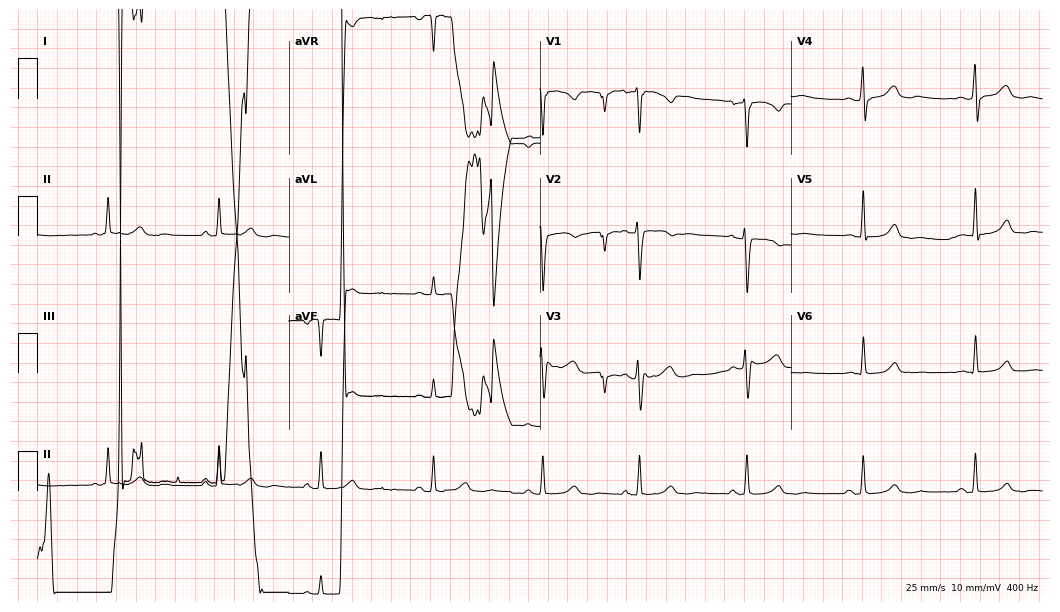
Standard 12-lead ECG recorded from a 32-year-old woman. Read as a normal ECG.